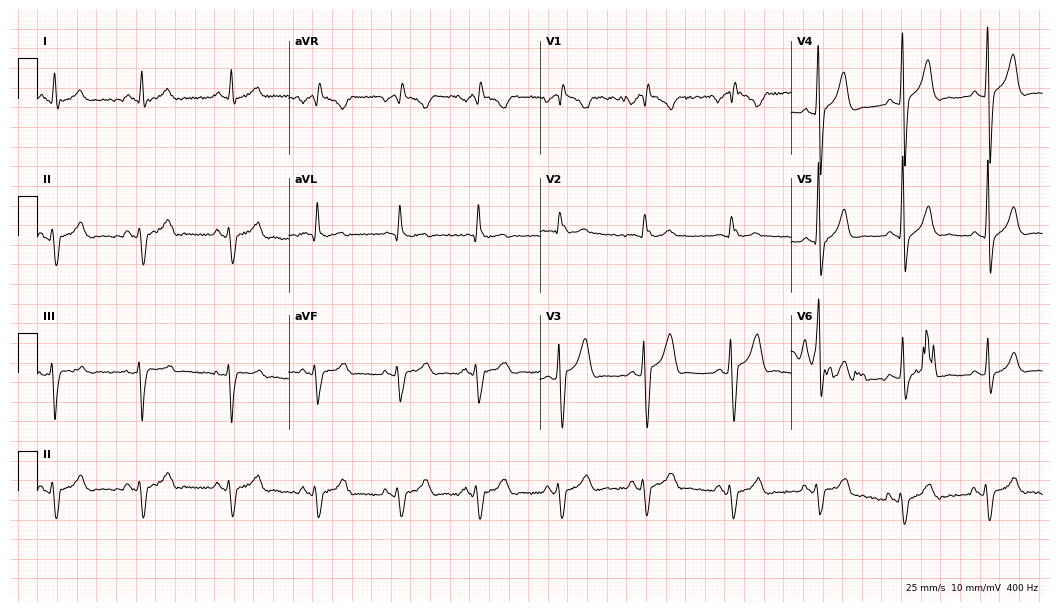
Electrocardiogram (10.2-second recording at 400 Hz), a man, 40 years old. Interpretation includes right bundle branch block.